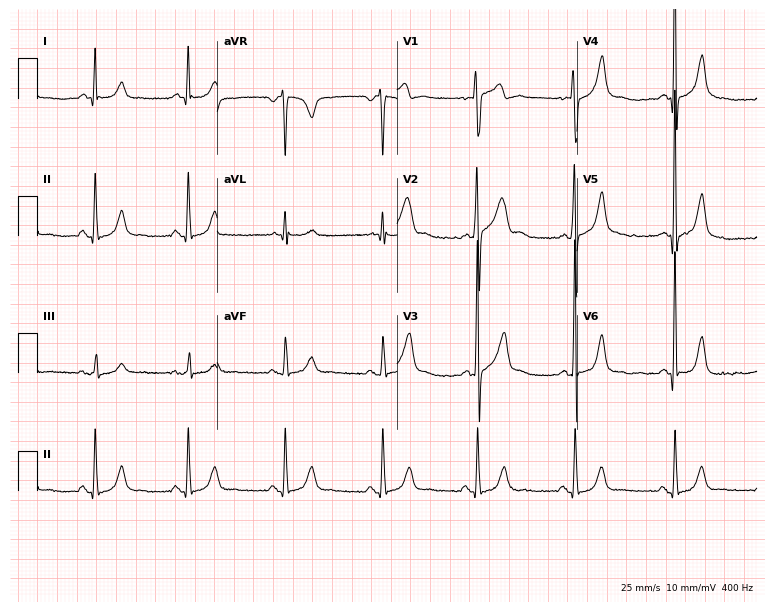
Electrocardiogram, a 62-year-old male. Overall reading on record: normal ECG.